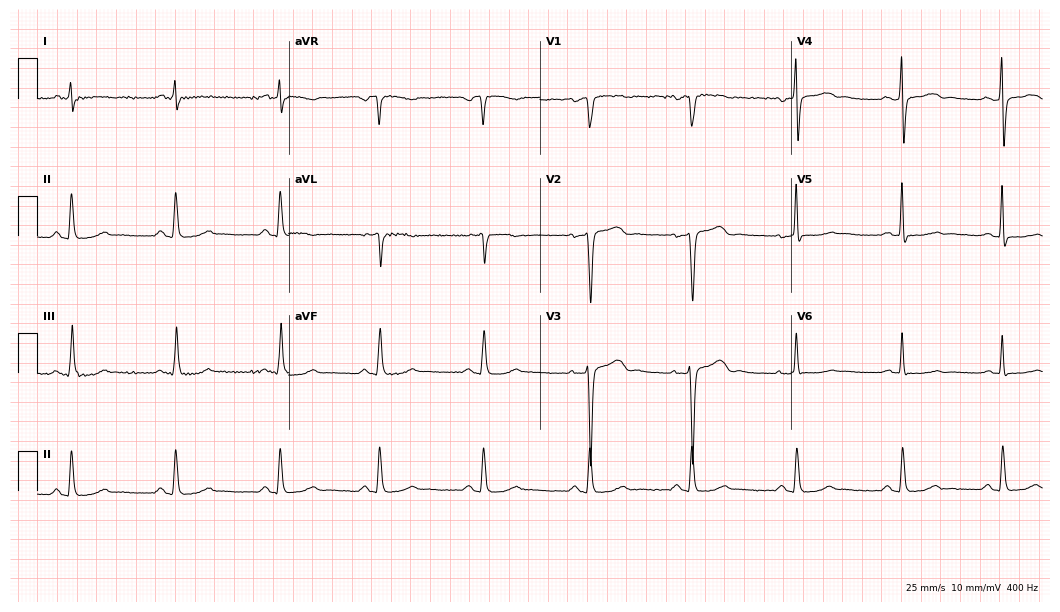
12-lead ECG from a male patient, 51 years old (10.2-second recording at 400 Hz). No first-degree AV block, right bundle branch block (RBBB), left bundle branch block (LBBB), sinus bradycardia, atrial fibrillation (AF) or sinus tachycardia recorded for this tracing. Other findings, if any, are not listed.